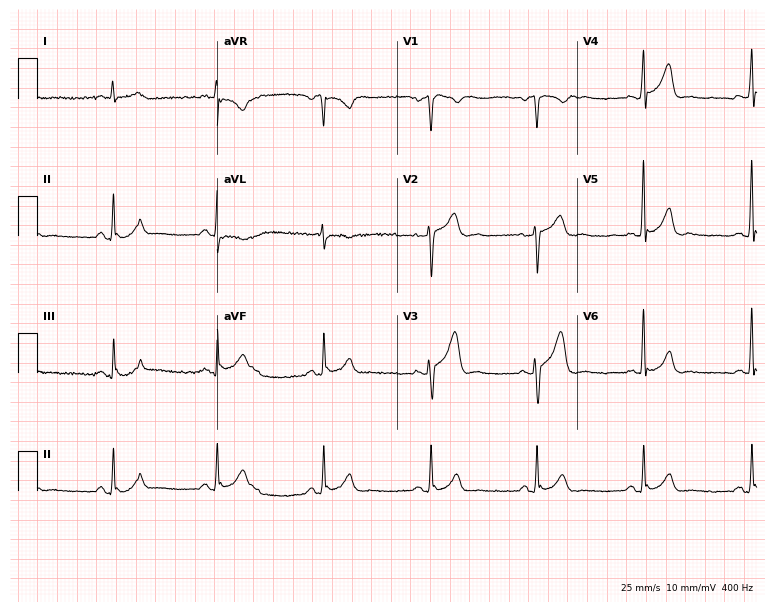
ECG (7.3-second recording at 400 Hz) — a 61-year-old male. Screened for six findings — first-degree AV block, right bundle branch block (RBBB), left bundle branch block (LBBB), sinus bradycardia, atrial fibrillation (AF), sinus tachycardia — none is recorded. Other findings, if any, are not listed.